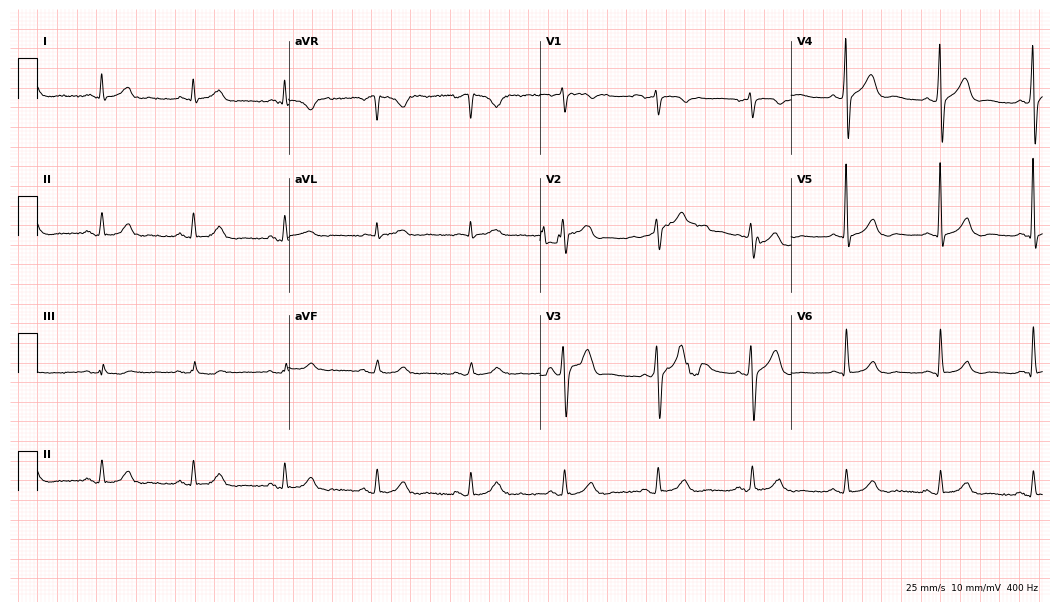
12-lead ECG from a male, 64 years old (10.2-second recording at 400 Hz). No first-degree AV block, right bundle branch block (RBBB), left bundle branch block (LBBB), sinus bradycardia, atrial fibrillation (AF) or sinus tachycardia recorded for this tracing.